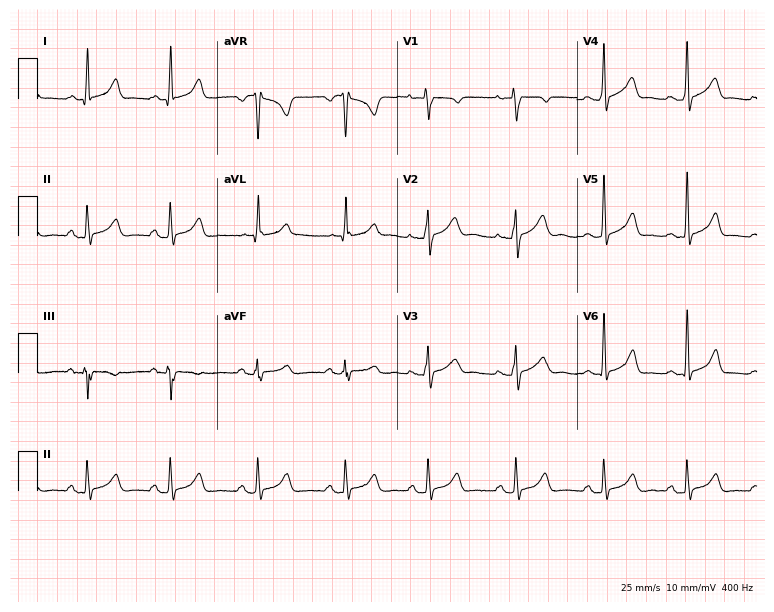
Resting 12-lead electrocardiogram (7.3-second recording at 400 Hz). Patient: a female, 26 years old. Read as a normal ECG.